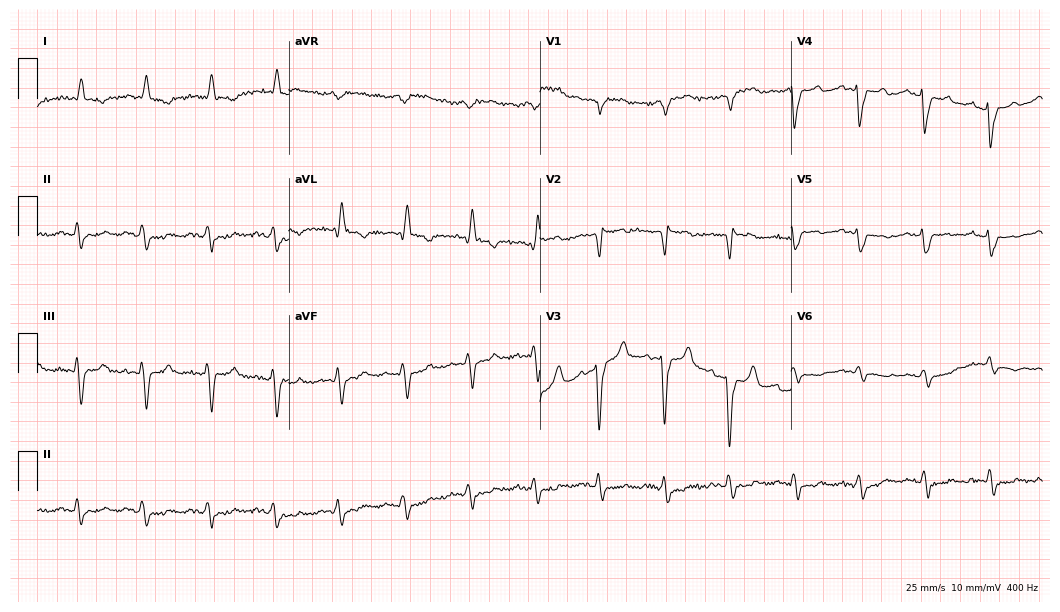
Standard 12-lead ECG recorded from an 81-year-old woman (10.2-second recording at 400 Hz). None of these six findings is recorded: first-degree AV block, right bundle branch block, left bundle branch block, sinus bradycardia, atrial fibrillation, sinus tachycardia.